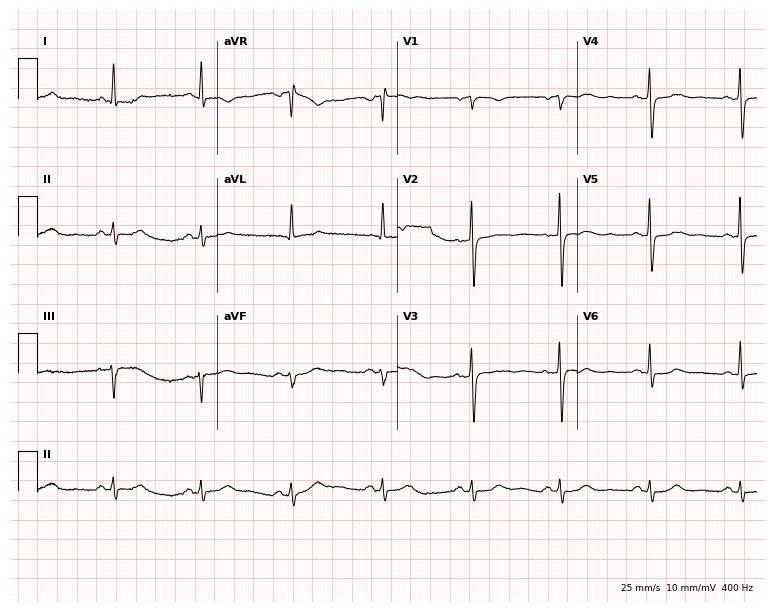
Electrocardiogram, a female, 73 years old. Of the six screened findings (first-degree AV block, right bundle branch block, left bundle branch block, sinus bradycardia, atrial fibrillation, sinus tachycardia), none is recorded.